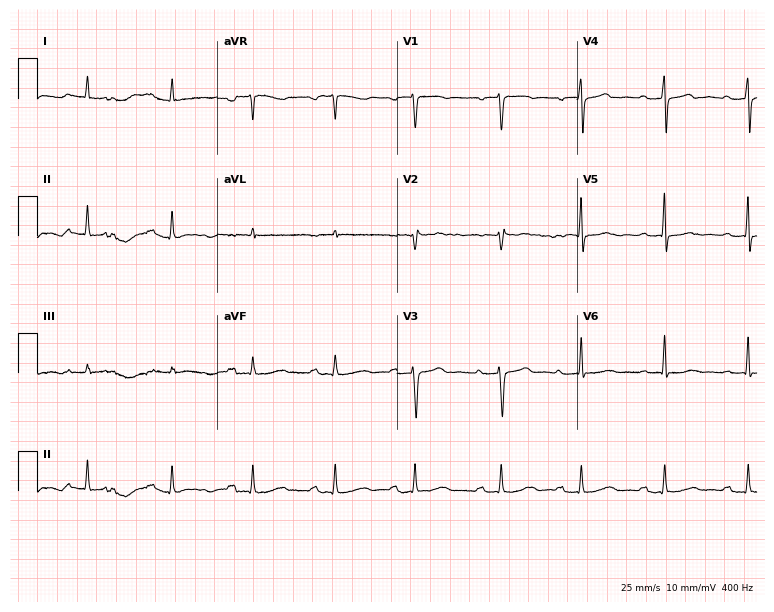
Standard 12-lead ECG recorded from a 52-year-old female. The tracing shows first-degree AV block.